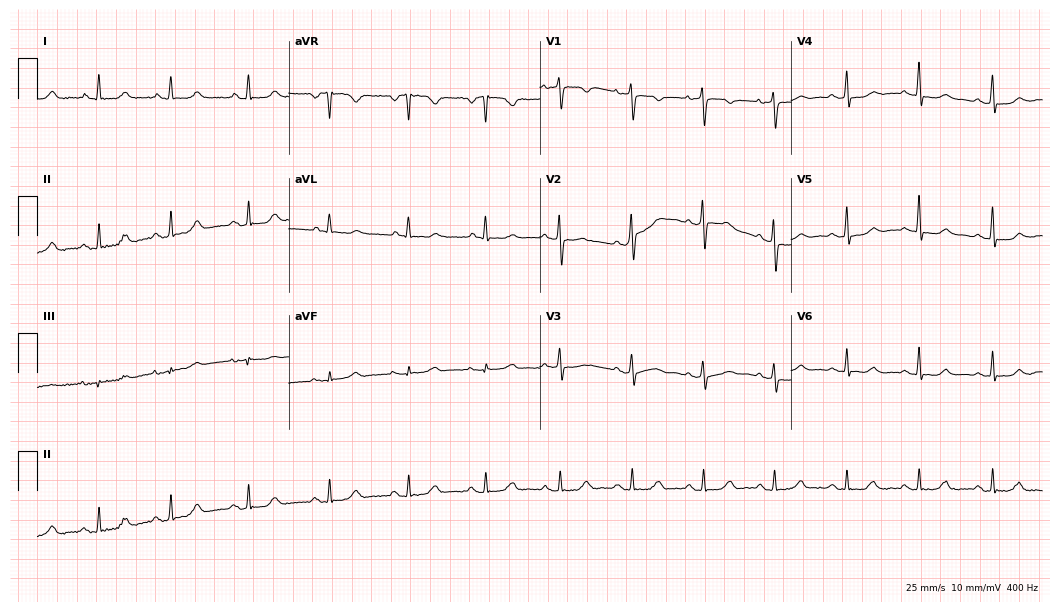
12-lead ECG from a female patient, 60 years old (10.2-second recording at 400 Hz). Recorded interpretation: within normal limits.